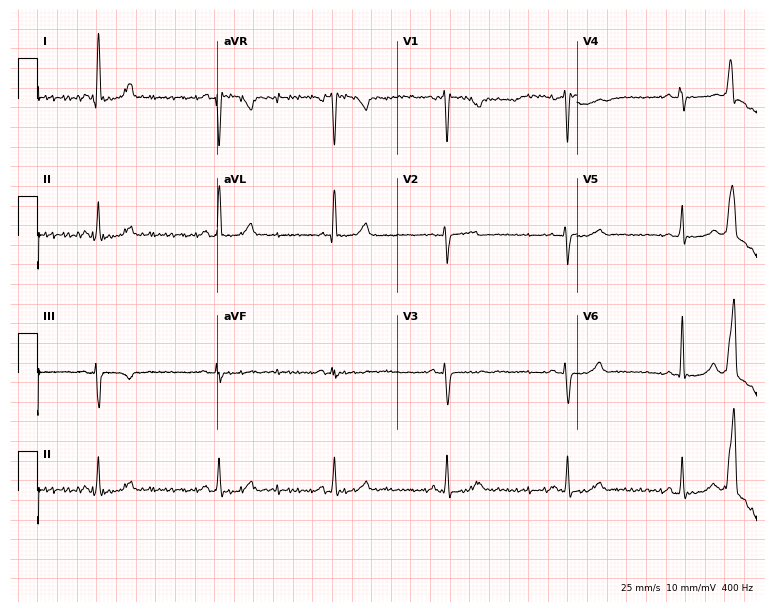
12-lead ECG from a woman, 35 years old. Labelled as a normal ECG.